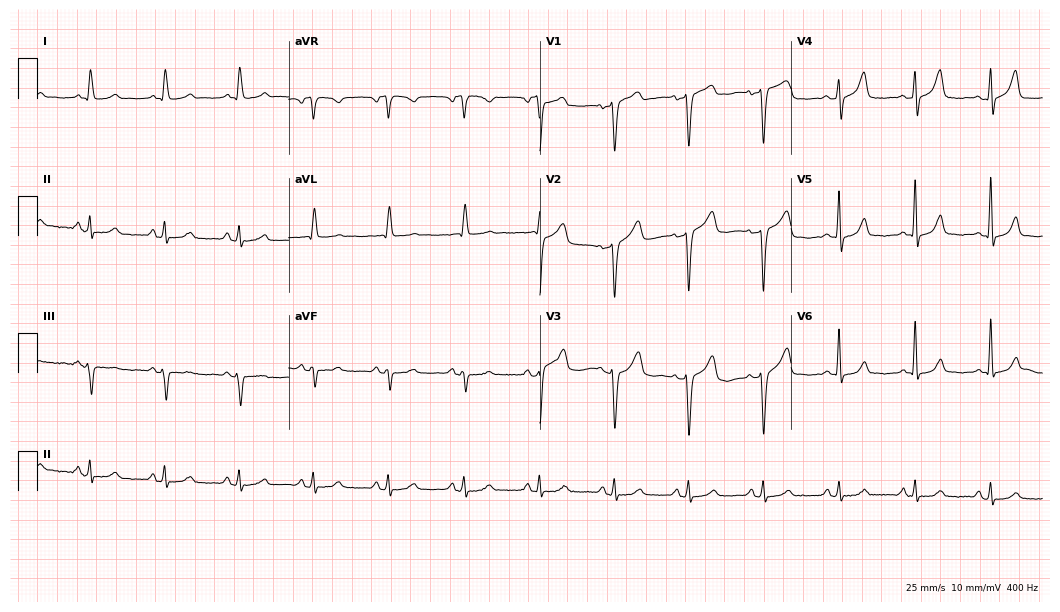
ECG (10.2-second recording at 400 Hz) — a 78-year-old female patient. Labelled as a normal ECG.